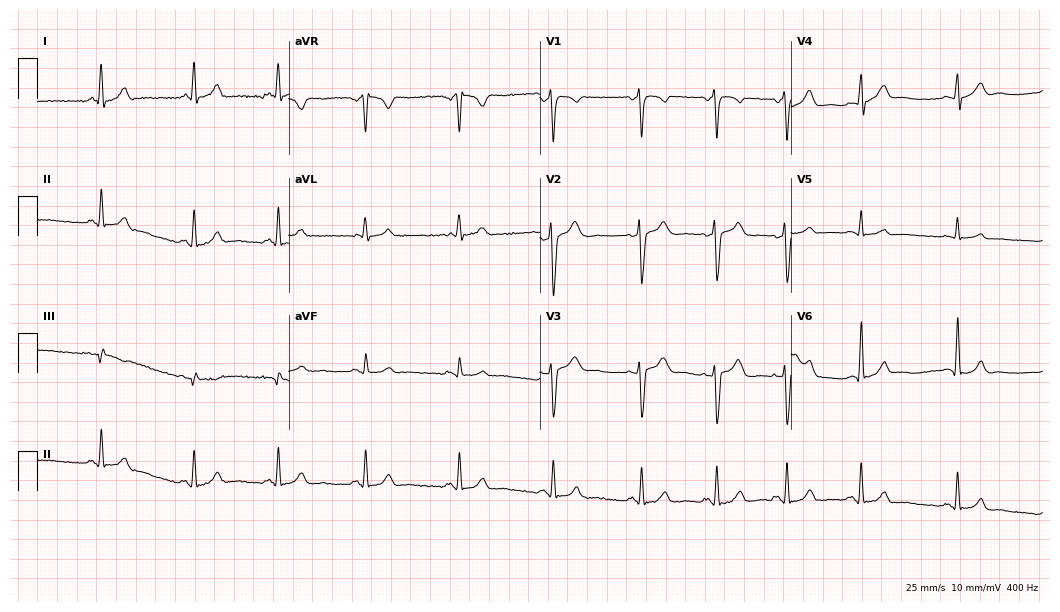
12-lead ECG (10.2-second recording at 400 Hz) from a 23-year-old man. Screened for six findings — first-degree AV block, right bundle branch block, left bundle branch block, sinus bradycardia, atrial fibrillation, sinus tachycardia — none is recorded. Findings outside these six are not listed.